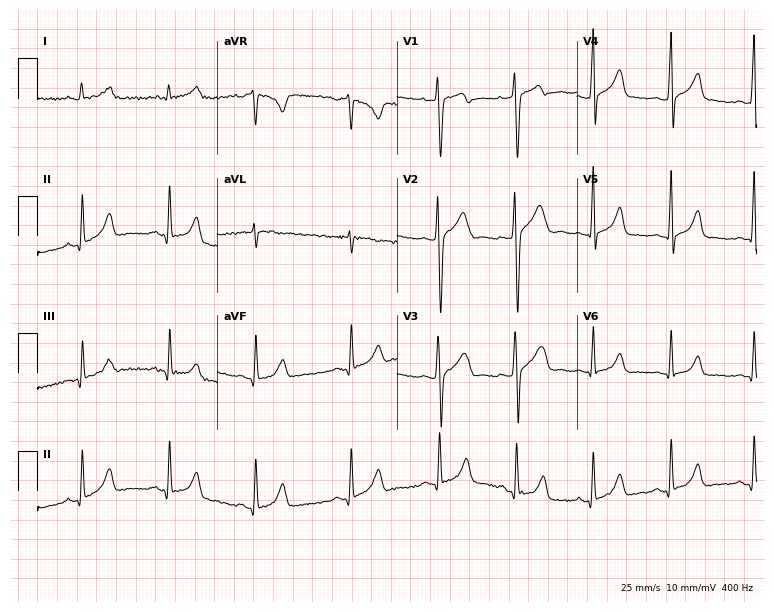
12-lead ECG from a male, 30 years old. Screened for six findings — first-degree AV block, right bundle branch block (RBBB), left bundle branch block (LBBB), sinus bradycardia, atrial fibrillation (AF), sinus tachycardia — none is recorded. Other findings, if any, are not listed.